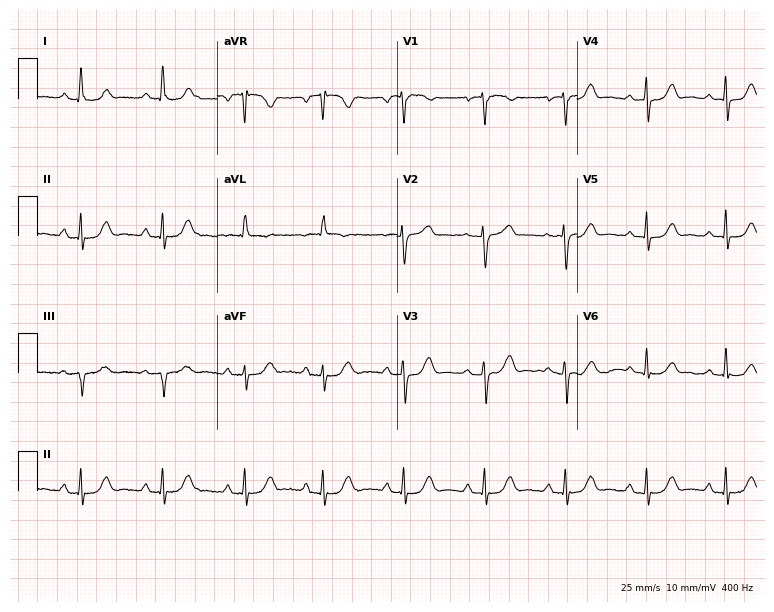
ECG — a female patient, 70 years old. Labelled as a normal ECG.